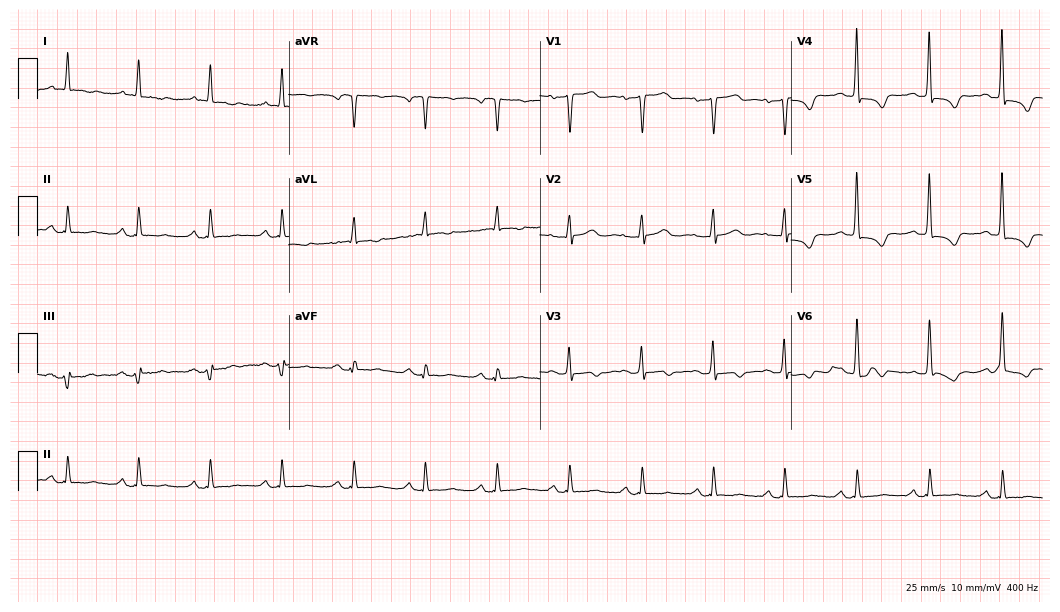
Electrocardiogram, an 81-year-old female patient. Of the six screened findings (first-degree AV block, right bundle branch block, left bundle branch block, sinus bradycardia, atrial fibrillation, sinus tachycardia), none is recorded.